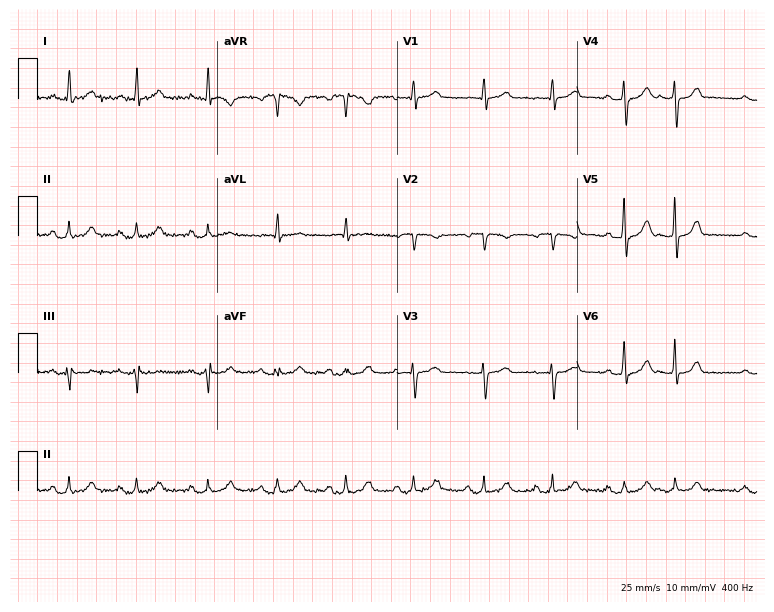
12-lead ECG (7.3-second recording at 400 Hz) from a woman, 83 years old. Screened for six findings — first-degree AV block, right bundle branch block, left bundle branch block, sinus bradycardia, atrial fibrillation, sinus tachycardia — none is recorded. Other findings, if any, are not listed.